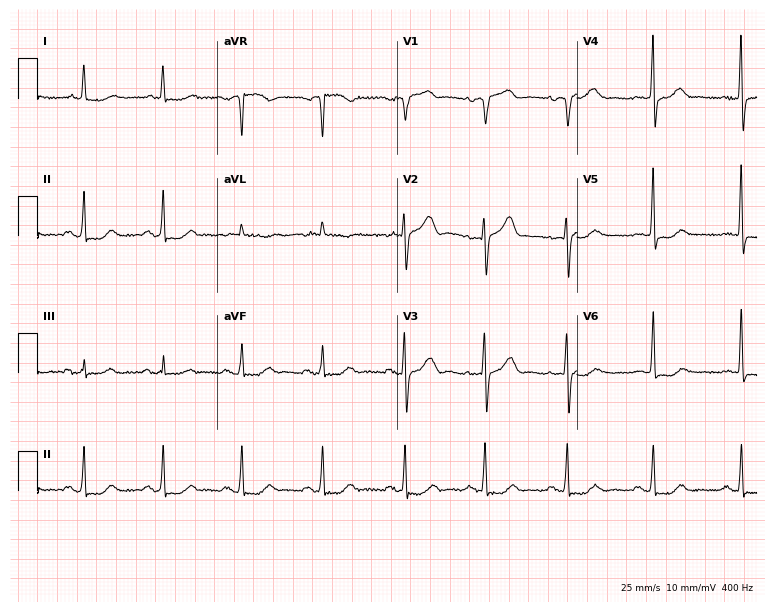
ECG (7.3-second recording at 400 Hz) — a 78-year-old man. Screened for six findings — first-degree AV block, right bundle branch block (RBBB), left bundle branch block (LBBB), sinus bradycardia, atrial fibrillation (AF), sinus tachycardia — none is recorded.